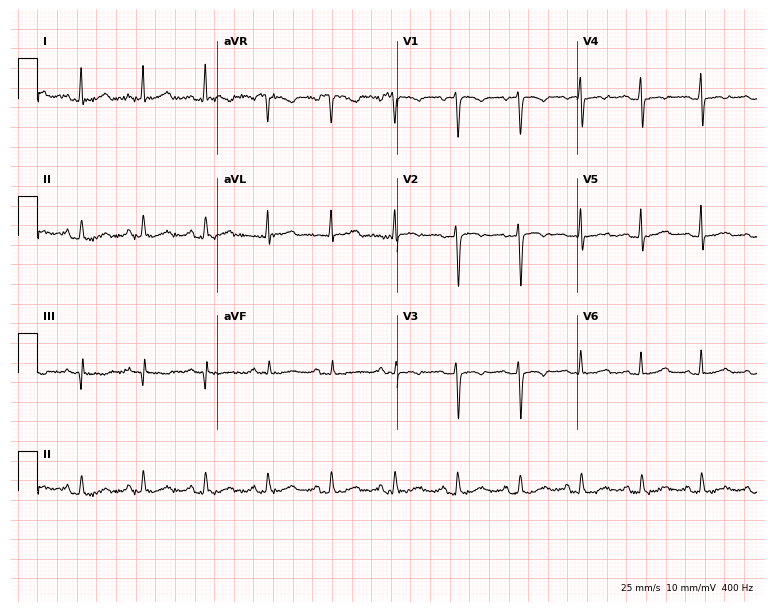
Electrocardiogram (7.3-second recording at 400 Hz), a 45-year-old female. Of the six screened findings (first-degree AV block, right bundle branch block, left bundle branch block, sinus bradycardia, atrial fibrillation, sinus tachycardia), none is recorded. Other findings, if any, are not listed.